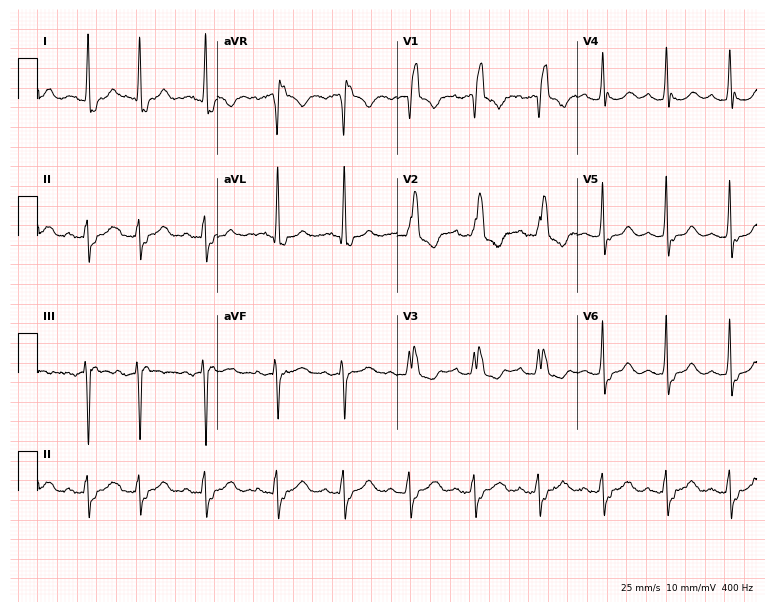
Standard 12-lead ECG recorded from a female, 70 years old (7.3-second recording at 400 Hz). The tracing shows right bundle branch block (RBBB).